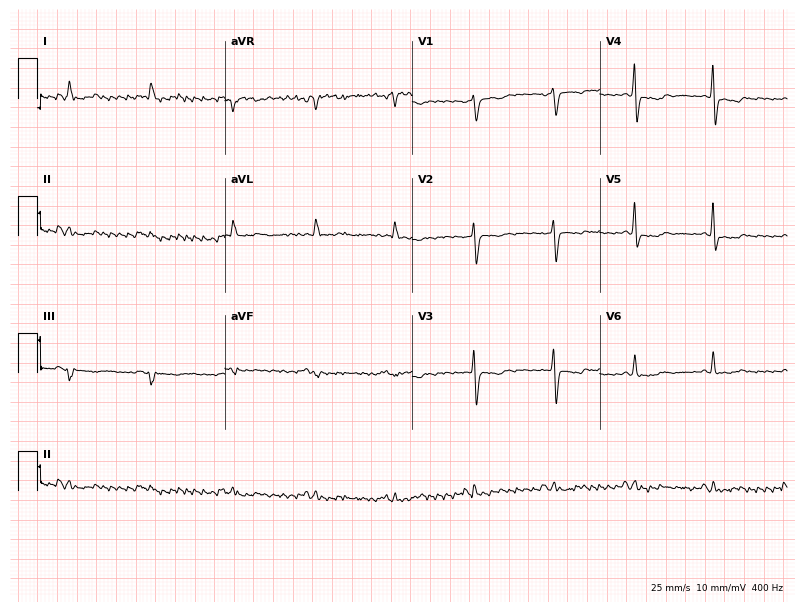
Standard 12-lead ECG recorded from a 46-year-old woman (7.6-second recording at 400 Hz). None of these six findings is recorded: first-degree AV block, right bundle branch block, left bundle branch block, sinus bradycardia, atrial fibrillation, sinus tachycardia.